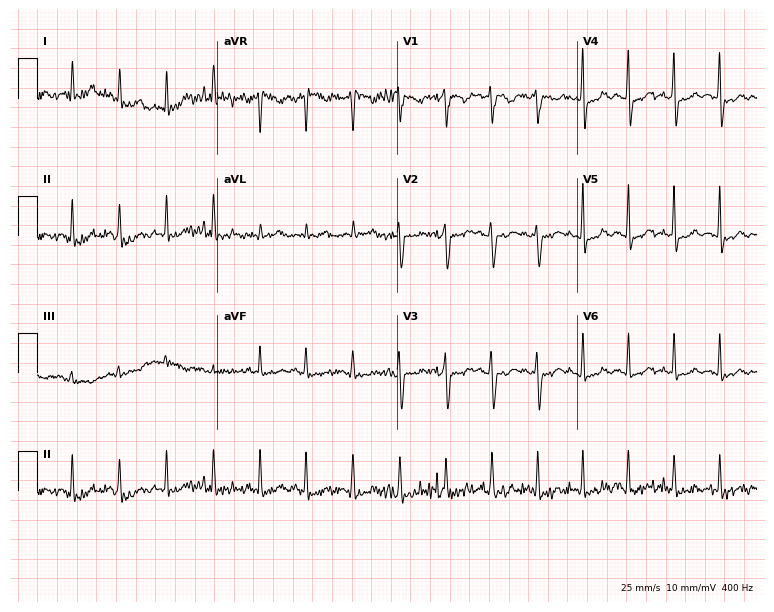
ECG — a female patient, 34 years old. Screened for six findings — first-degree AV block, right bundle branch block, left bundle branch block, sinus bradycardia, atrial fibrillation, sinus tachycardia — none is recorded. Findings outside these six are not listed.